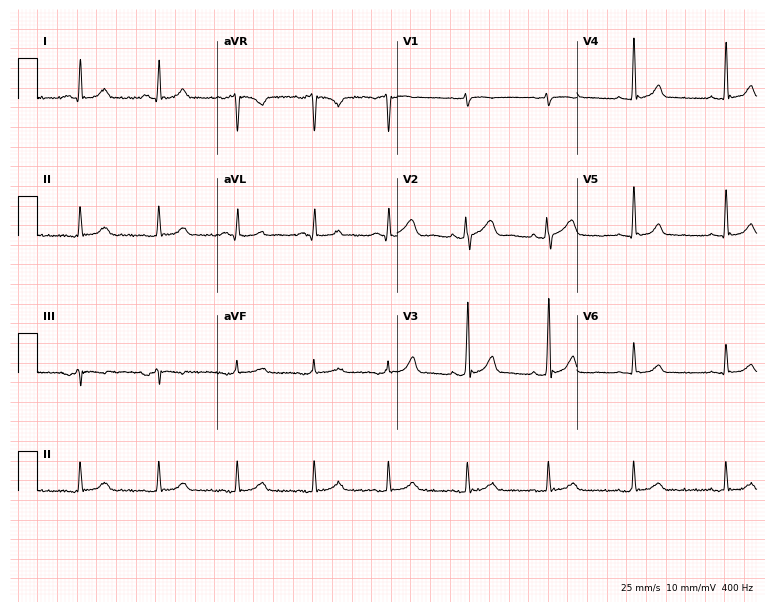
Standard 12-lead ECG recorded from a 54-year-old man (7.3-second recording at 400 Hz). Read as a normal ECG.